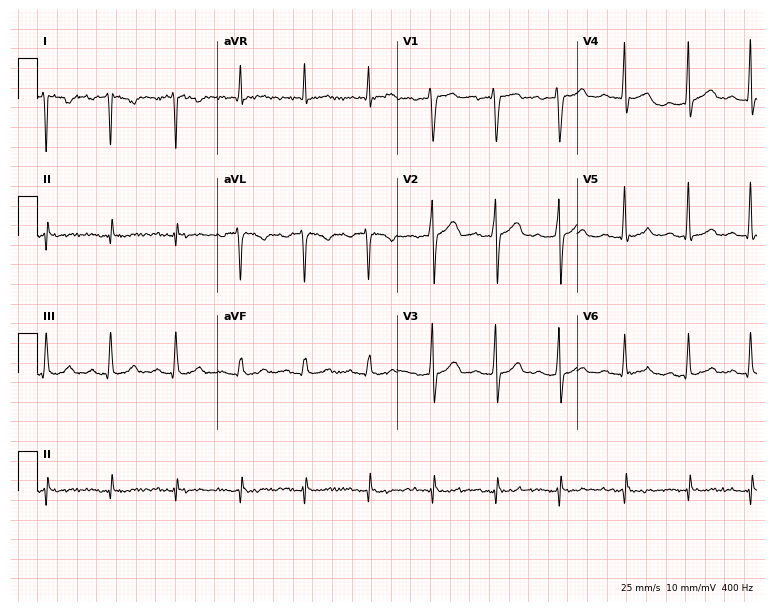
12-lead ECG from a 40-year-old man. Screened for six findings — first-degree AV block, right bundle branch block, left bundle branch block, sinus bradycardia, atrial fibrillation, sinus tachycardia — none is recorded. Findings outside these six are not listed.